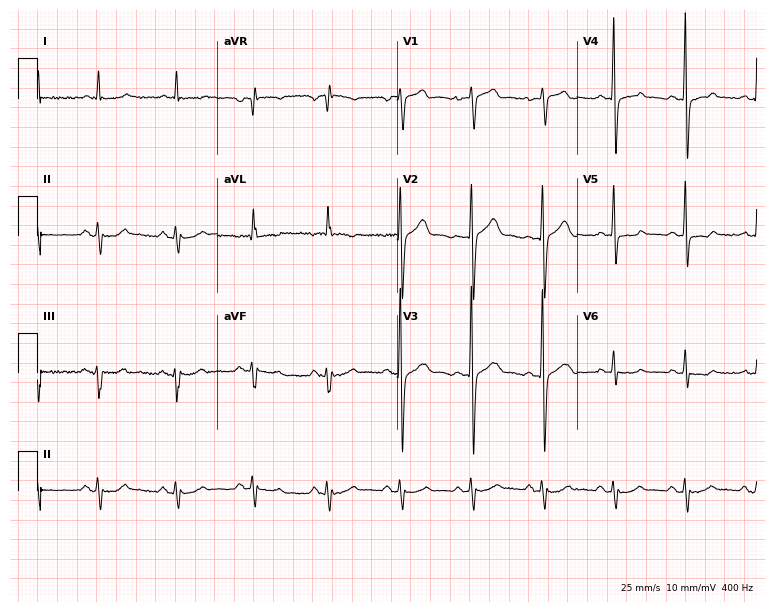
Electrocardiogram (7.3-second recording at 400 Hz), a male patient, 83 years old. Of the six screened findings (first-degree AV block, right bundle branch block, left bundle branch block, sinus bradycardia, atrial fibrillation, sinus tachycardia), none is recorded.